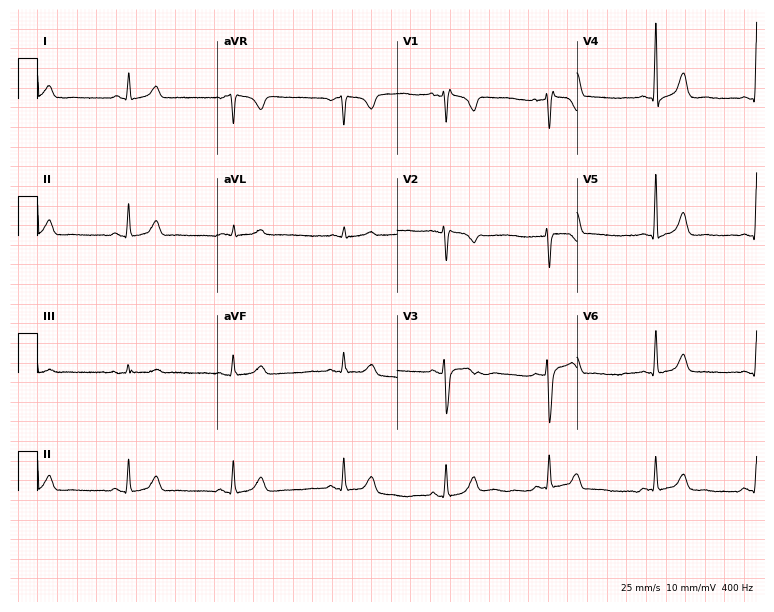
12-lead ECG from a female patient, 34 years old. No first-degree AV block, right bundle branch block, left bundle branch block, sinus bradycardia, atrial fibrillation or sinus tachycardia recorded for this tracing. Only these six findings were labelled.